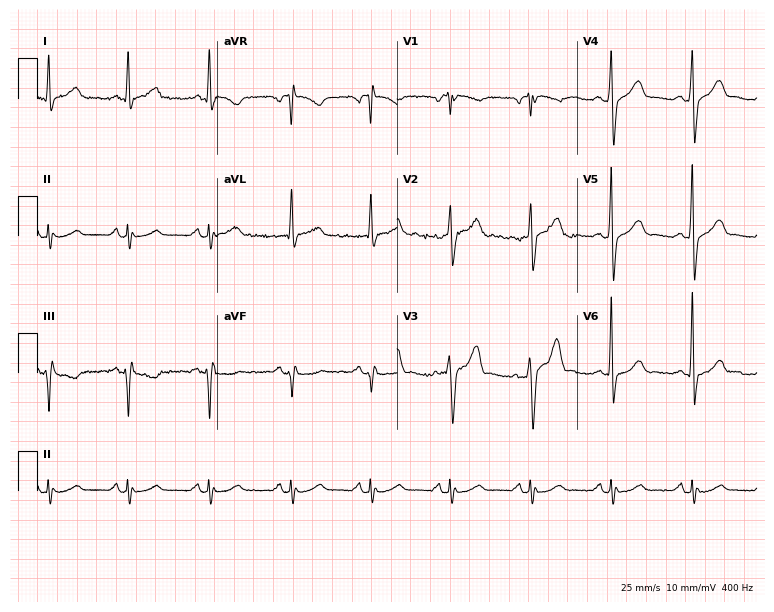
Standard 12-lead ECG recorded from a man, 53 years old (7.3-second recording at 400 Hz). Read as a normal ECG.